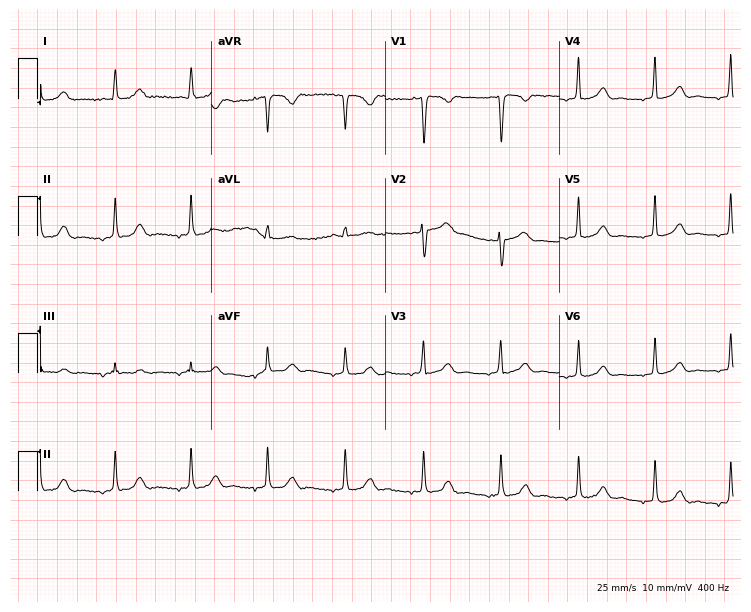
Resting 12-lead electrocardiogram (7.1-second recording at 400 Hz). Patient: a 41-year-old female. None of these six findings is recorded: first-degree AV block, right bundle branch block, left bundle branch block, sinus bradycardia, atrial fibrillation, sinus tachycardia.